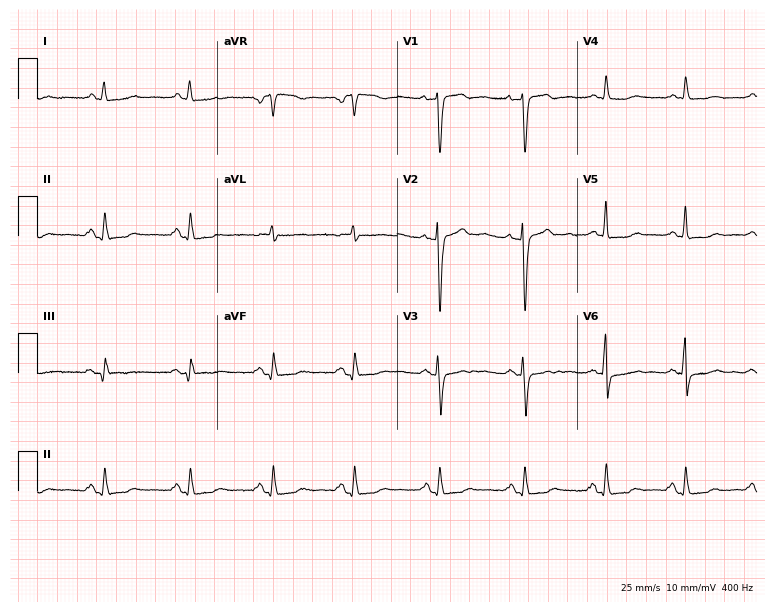
12-lead ECG from a 61-year-old female patient (7.3-second recording at 400 Hz). No first-degree AV block, right bundle branch block, left bundle branch block, sinus bradycardia, atrial fibrillation or sinus tachycardia recorded for this tracing.